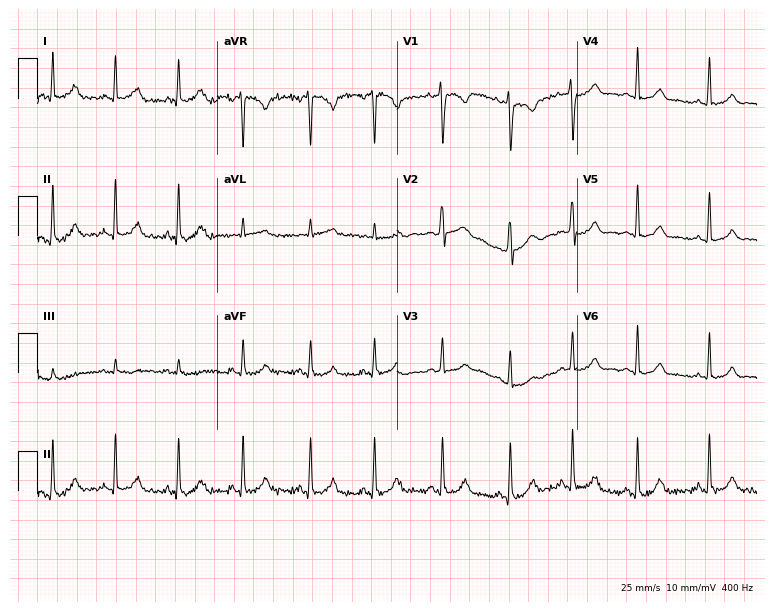
12-lead ECG from a 24-year-old woman (7.3-second recording at 400 Hz). Recorded interpretation: within normal limits.